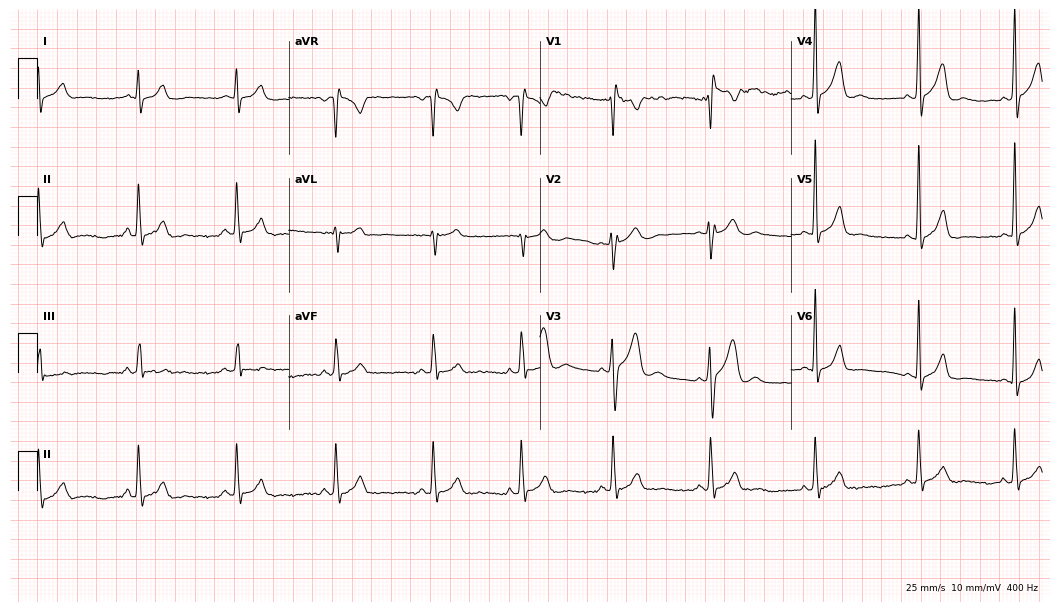
Resting 12-lead electrocardiogram (10.2-second recording at 400 Hz). Patient: a 28-year-old male. None of these six findings is recorded: first-degree AV block, right bundle branch block, left bundle branch block, sinus bradycardia, atrial fibrillation, sinus tachycardia.